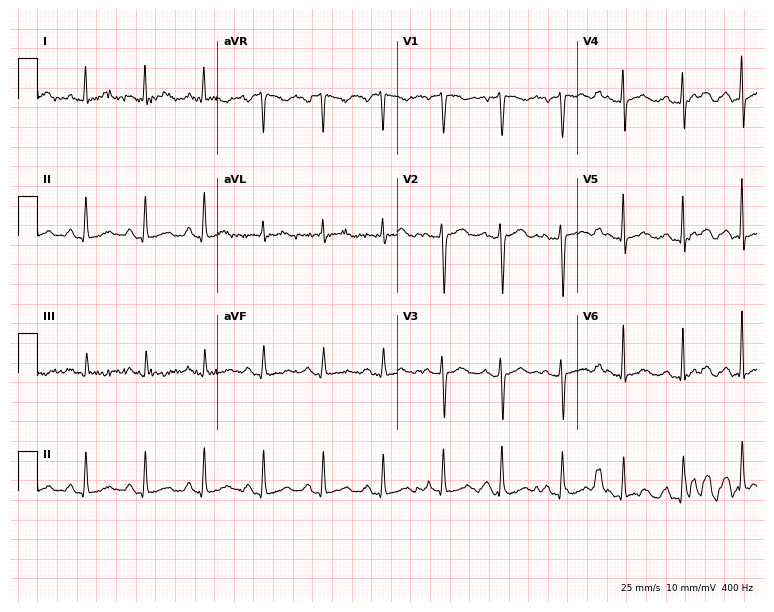
ECG — a 44-year-old woman. Labelled as a normal ECG.